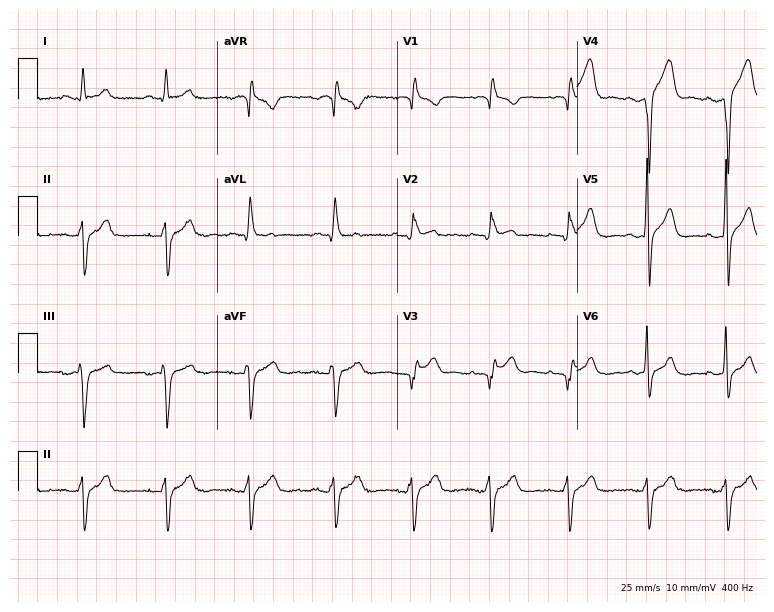
Resting 12-lead electrocardiogram (7.3-second recording at 400 Hz). Patient: a man, 30 years old. The tracing shows right bundle branch block.